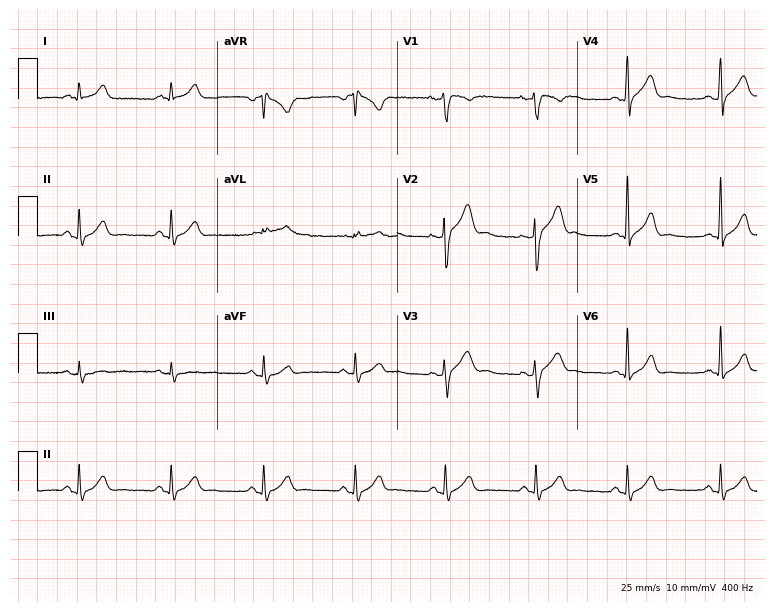
ECG (7.3-second recording at 400 Hz) — a 37-year-old man. Screened for six findings — first-degree AV block, right bundle branch block, left bundle branch block, sinus bradycardia, atrial fibrillation, sinus tachycardia — none is recorded. Only these six findings were labelled.